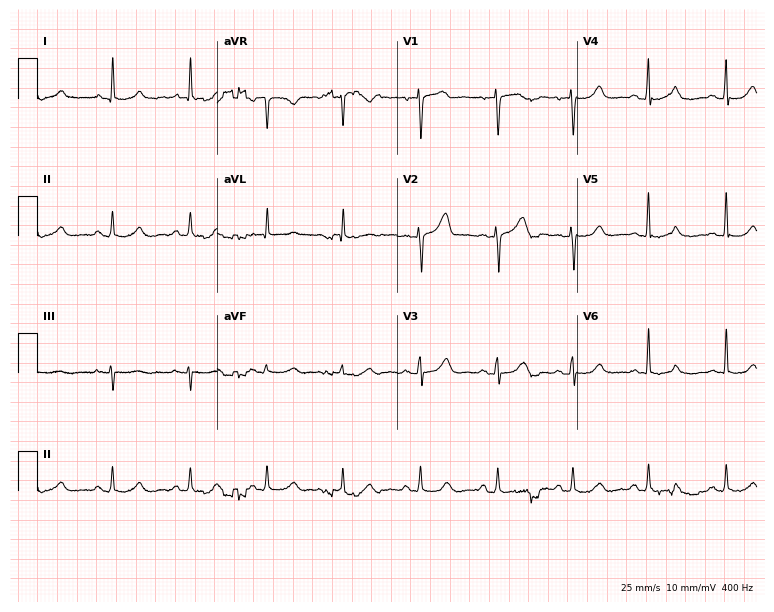
Standard 12-lead ECG recorded from a woman, 65 years old (7.3-second recording at 400 Hz). Read as a normal ECG.